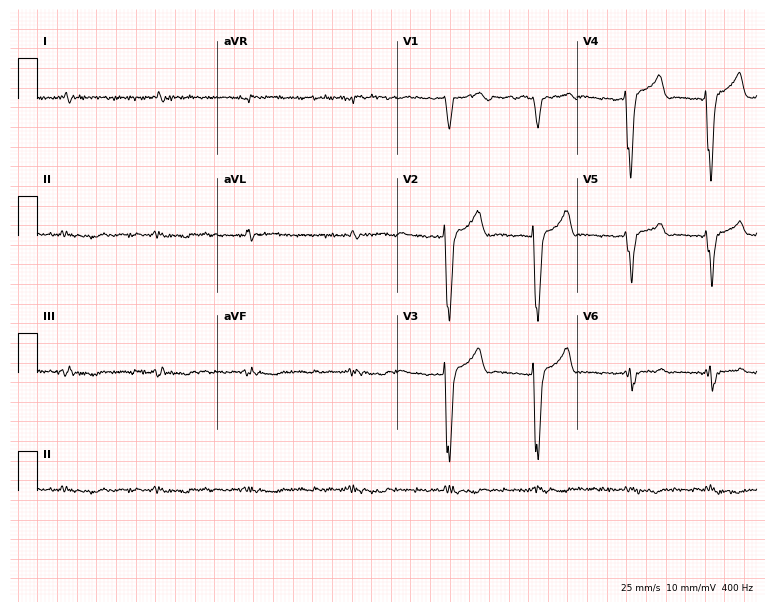
12-lead ECG from a 74-year-old male. Screened for six findings — first-degree AV block, right bundle branch block (RBBB), left bundle branch block (LBBB), sinus bradycardia, atrial fibrillation (AF), sinus tachycardia — none is recorded.